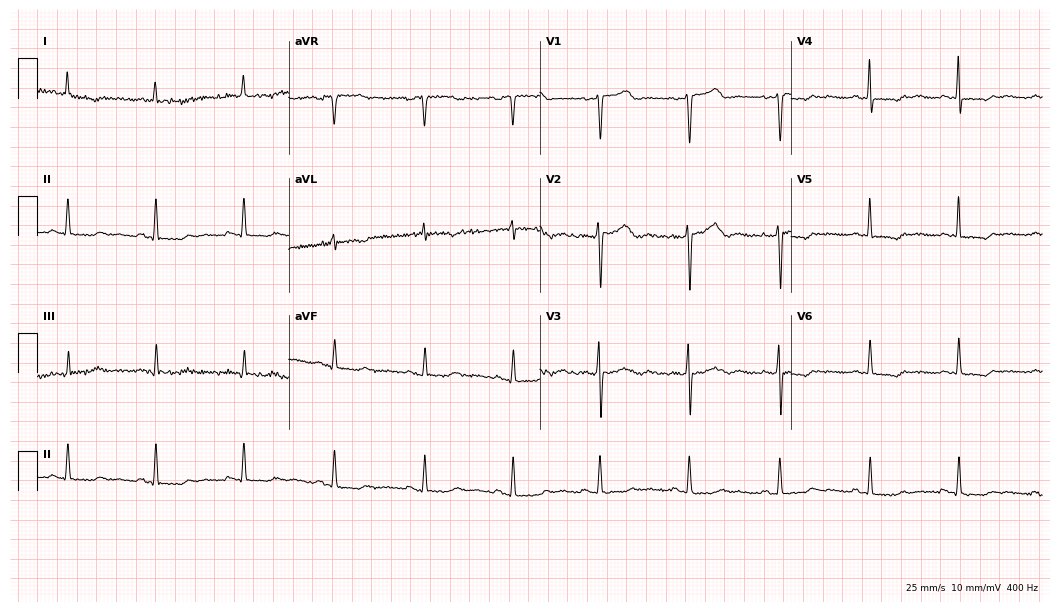
12-lead ECG (10.2-second recording at 400 Hz) from a female patient, 58 years old. Screened for six findings — first-degree AV block, right bundle branch block, left bundle branch block, sinus bradycardia, atrial fibrillation, sinus tachycardia — none is recorded.